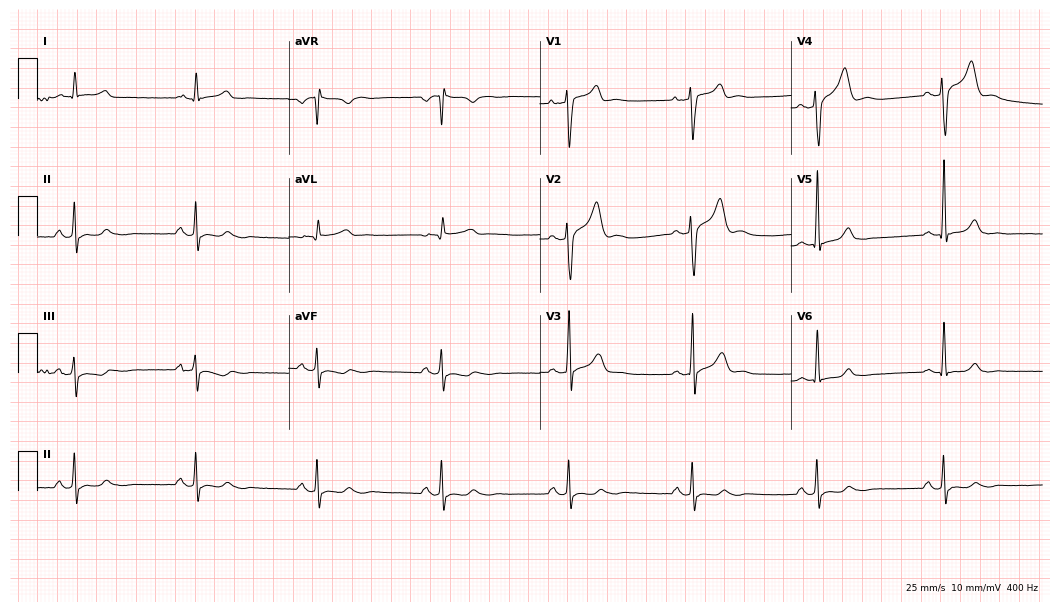
12-lead ECG from a male, 42 years old. No first-degree AV block, right bundle branch block, left bundle branch block, sinus bradycardia, atrial fibrillation or sinus tachycardia recorded for this tracing. Only these six findings were labelled.